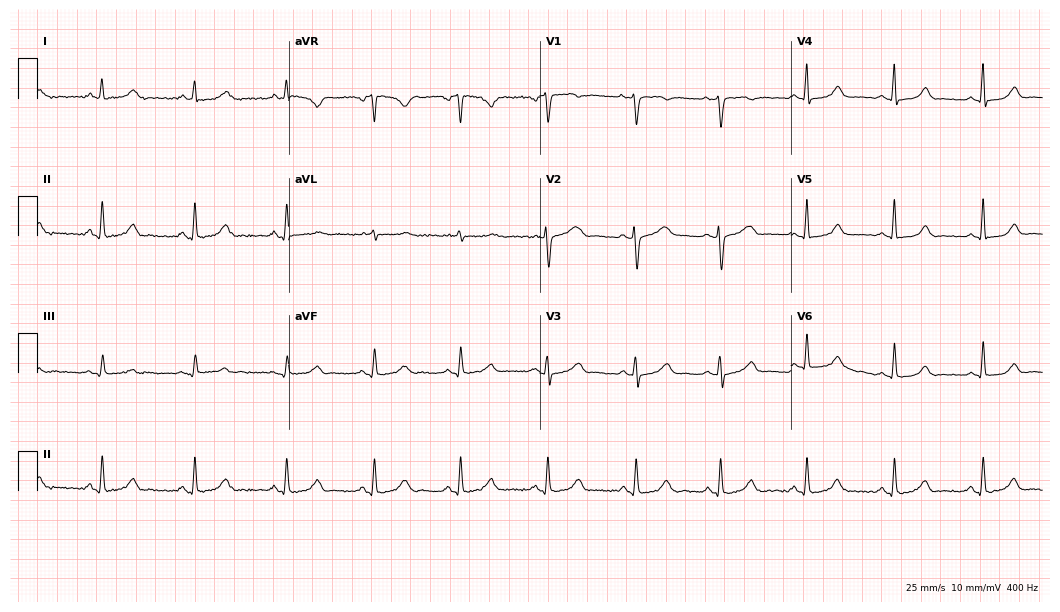
Resting 12-lead electrocardiogram (10.2-second recording at 400 Hz). Patient: a female, 34 years old. None of these six findings is recorded: first-degree AV block, right bundle branch block, left bundle branch block, sinus bradycardia, atrial fibrillation, sinus tachycardia. Findings outside these six are not listed.